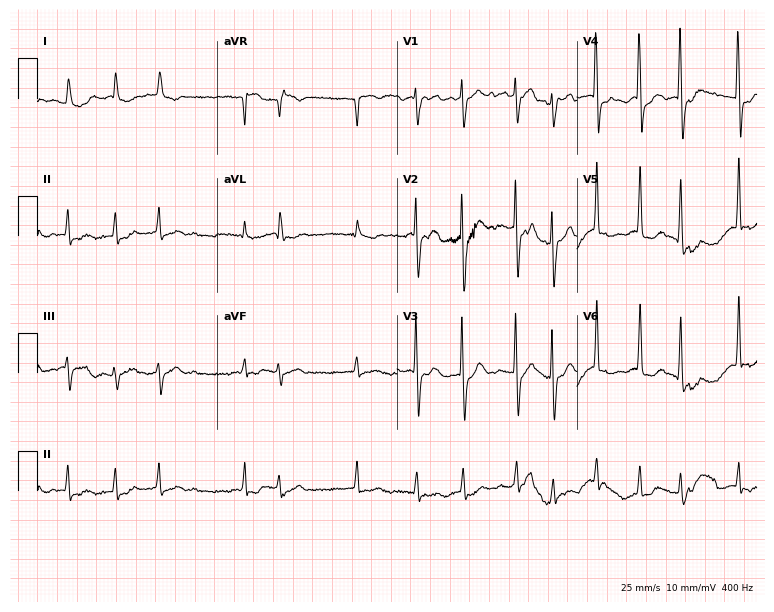
Resting 12-lead electrocardiogram. Patient: an 87-year-old woman. The tracing shows atrial fibrillation (AF).